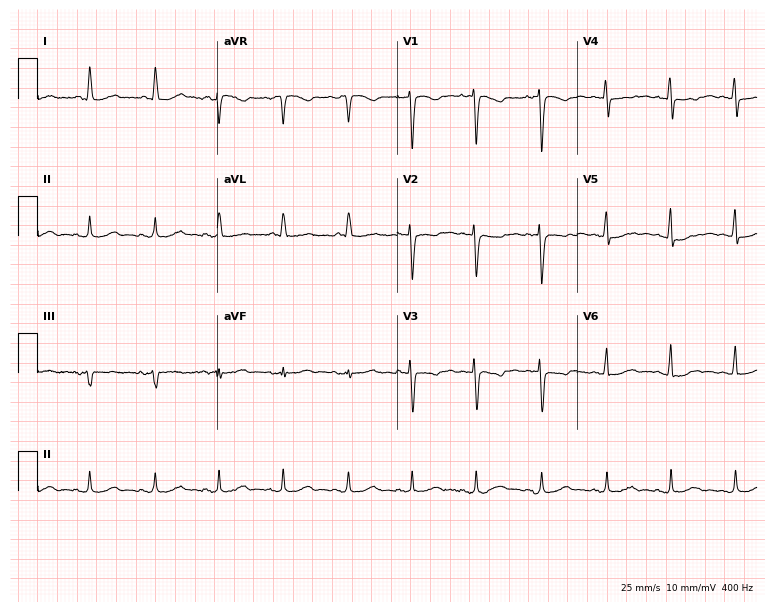
12-lead ECG from a 73-year-old female patient. No first-degree AV block, right bundle branch block, left bundle branch block, sinus bradycardia, atrial fibrillation or sinus tachycardia recorded for this tracing.